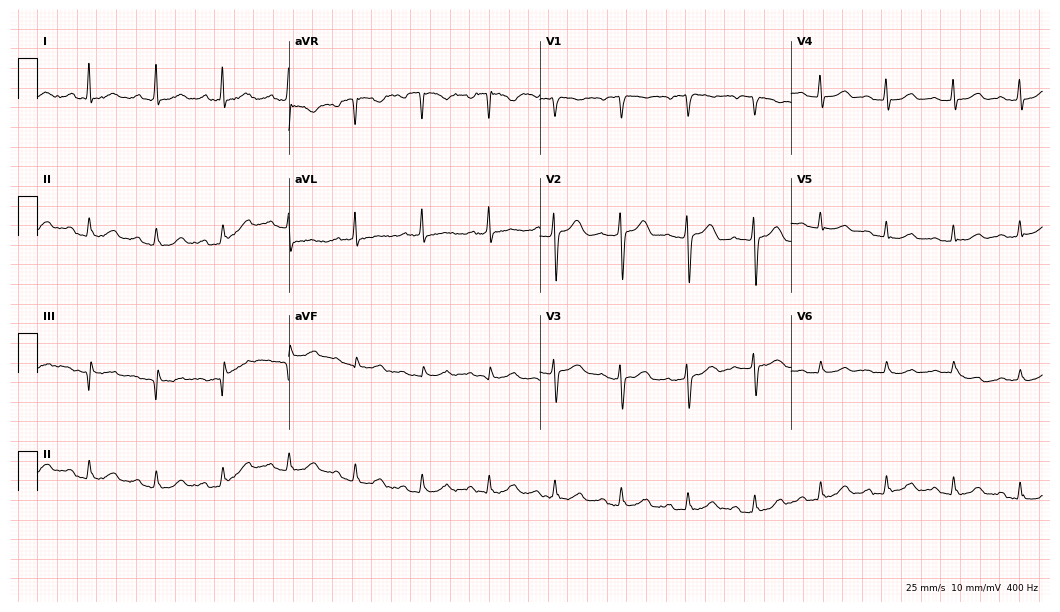
12-lead ECG from a 52-year-old female. Labelled as a normal ECG.